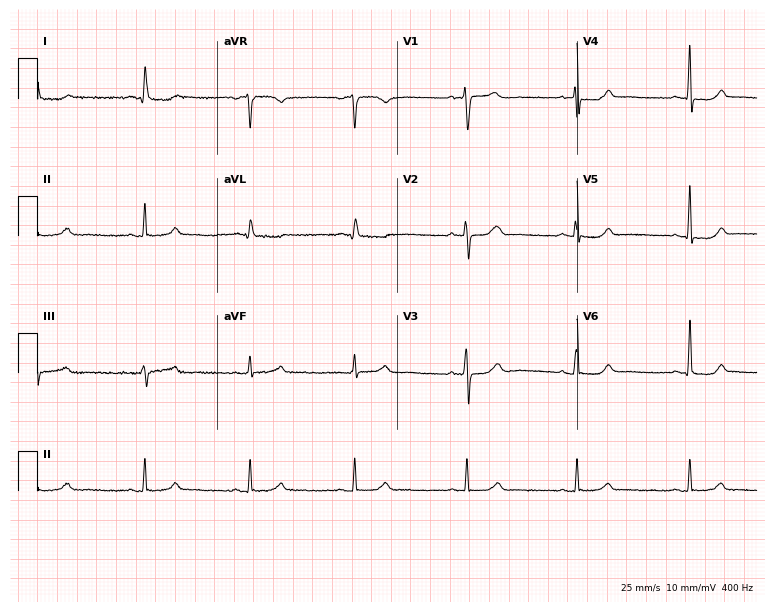
Standard 12-lead ECG recorded from a woman, 61 years old. None of these six findings is recorded: first-degree AV block, right bundle branch block, left bundle branch block, sinus bradycardia, atrial fibrillation, sinus tachycardia. Other findings, if any, are not listed.